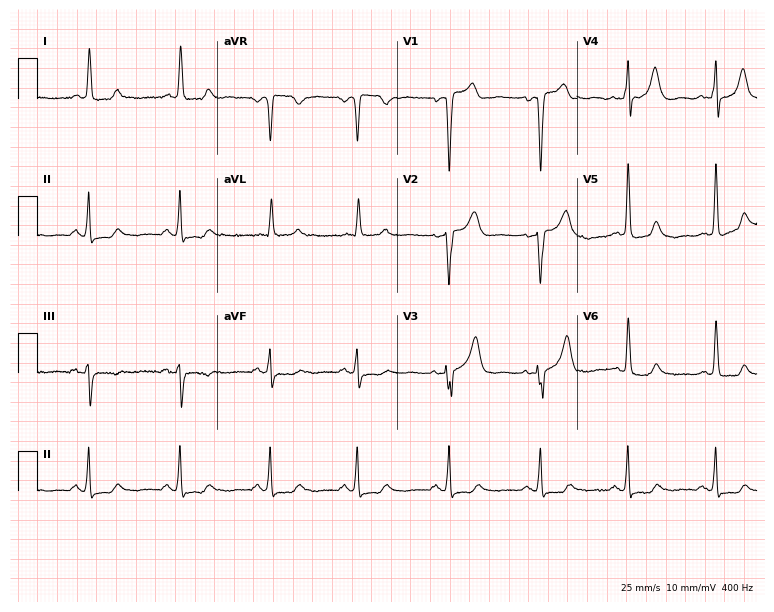
Standard 12-lead ECG recorded from a female patient, 84 years old. None of these six findings is recorded: first-degree AV block, right bundle branch block (RBBB), left bundle branch block (LBBB), sinus bradycardia, atrial fibrillation (AF), sinus tachycardia.